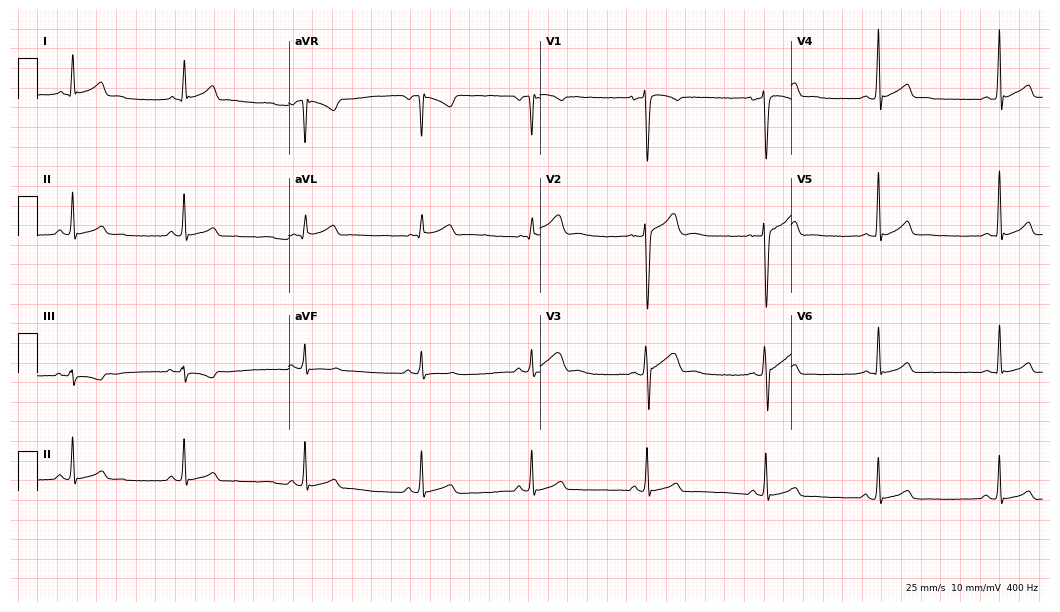
12-lead ECG from a 19-year-old male patient. Labelled as a normal ECG.